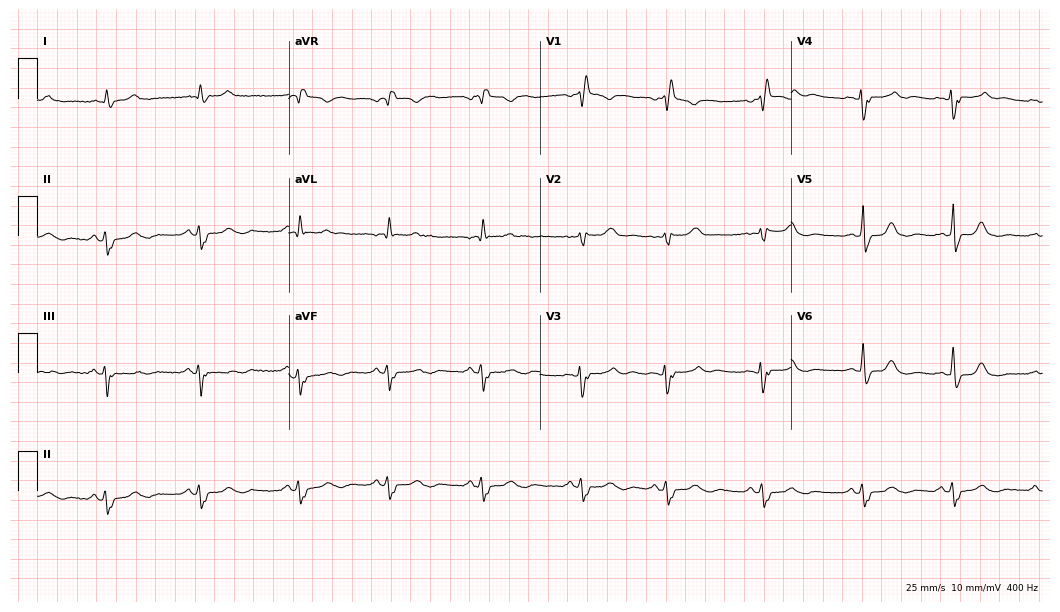
12-lead ECG (10.2-second recording at 400 Hz) from a 66-year-old female patient. Screened for six findings — first-degree AV block, right bundle branch block (RBBB), left bundle branch block (LBBB), sinus bradycardia, atrial fibrillation (AF), sinus tachycardia — none is recorded. Findings outside these six are not listed.